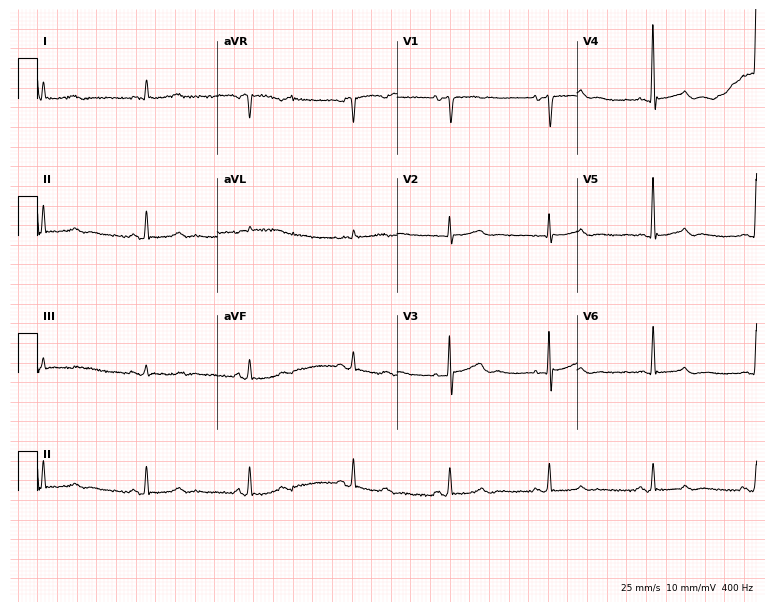
Standard 12-lead ECG recorded from a male patient, 76 years old. None of these six findings is recorded: first-degree AV block, right bundle branch block, left bundle branch block, sinus bradycardia, atrial fibrillation, sinus tachycardia.